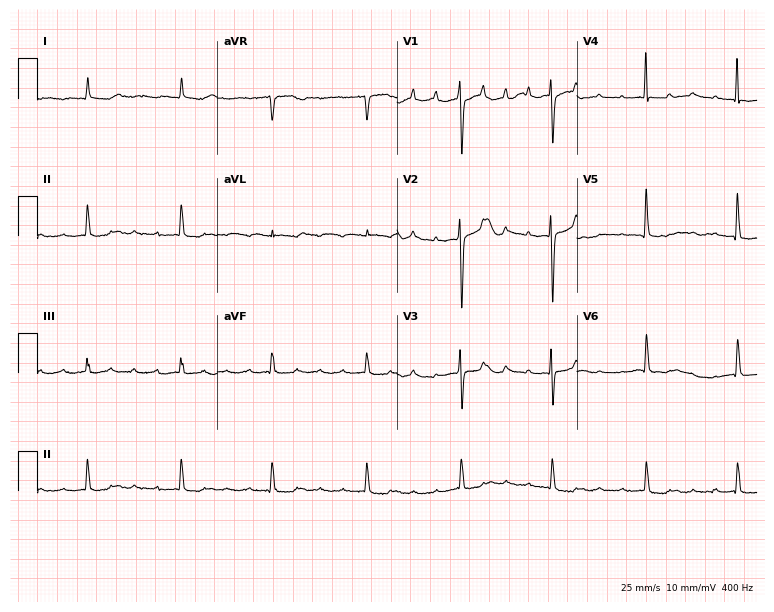
ECG (7.3-second recording at 400 Hz) — a female, 82 years old. Screened for six findings — first-degree AV block, right bundle branch block, left bundle branch block, sinus bradycardia, atrial fibrillation, sinus tachycardia — none is recorded.